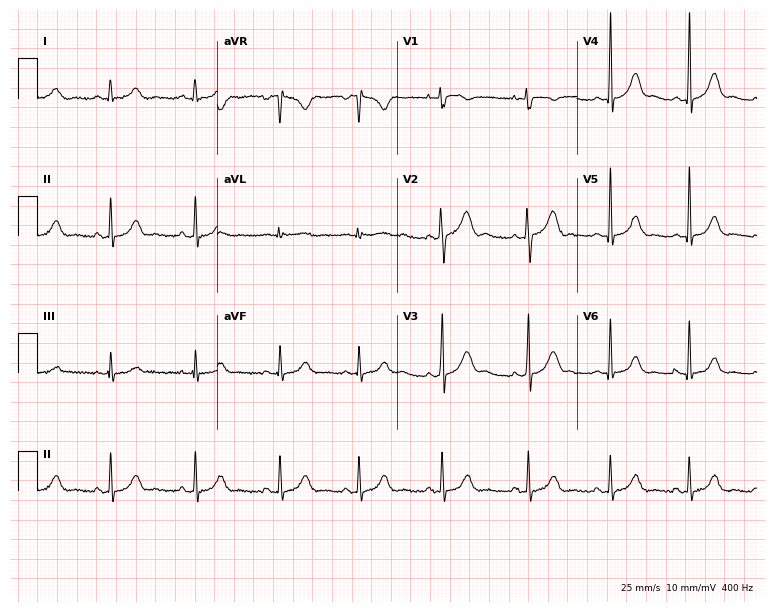
Electrocardiogram (7.3-second recording at 400 Hz), a 26-year-old woman. Overall reading on record: normal ECG.